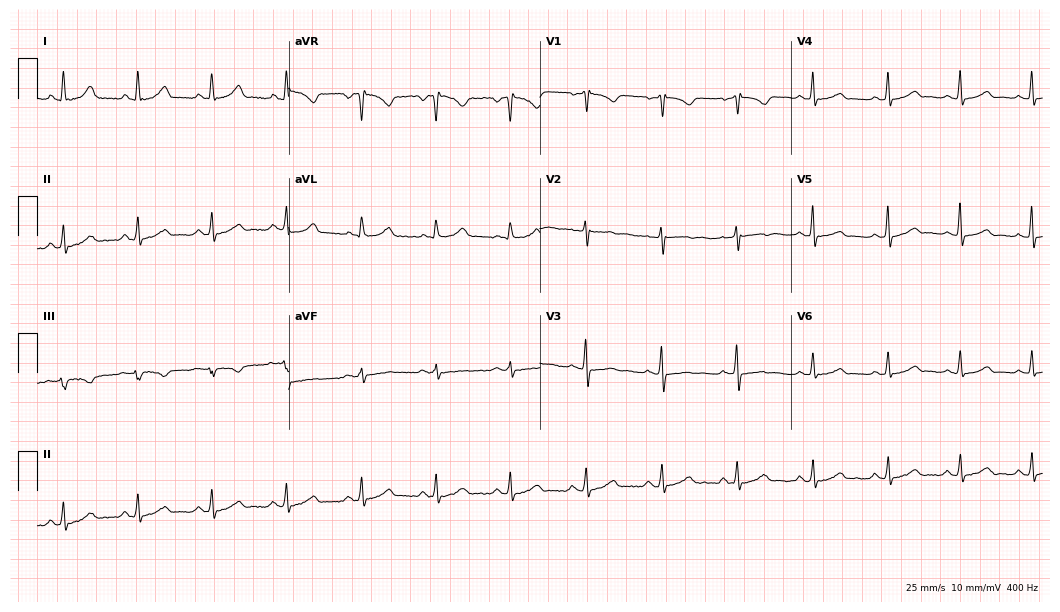
ECG (10.2-second recording at 400 Hz) — a 46-year-old female. Labelled as a normal ECG.